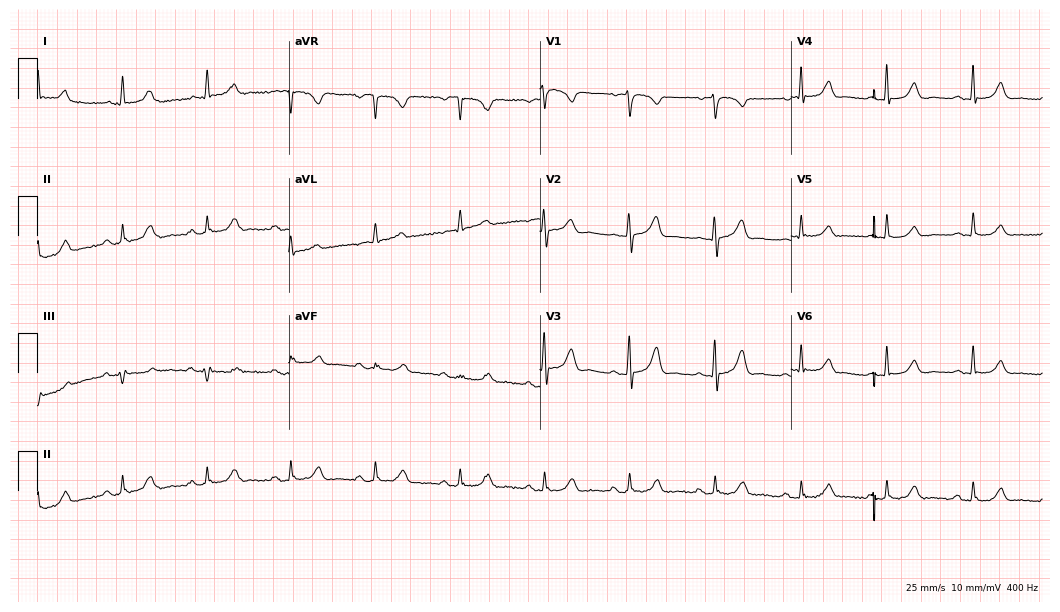
ECG (10.2-second recording at 400 Hz) — a female, 83 years old. Labelled as a normal ECG.